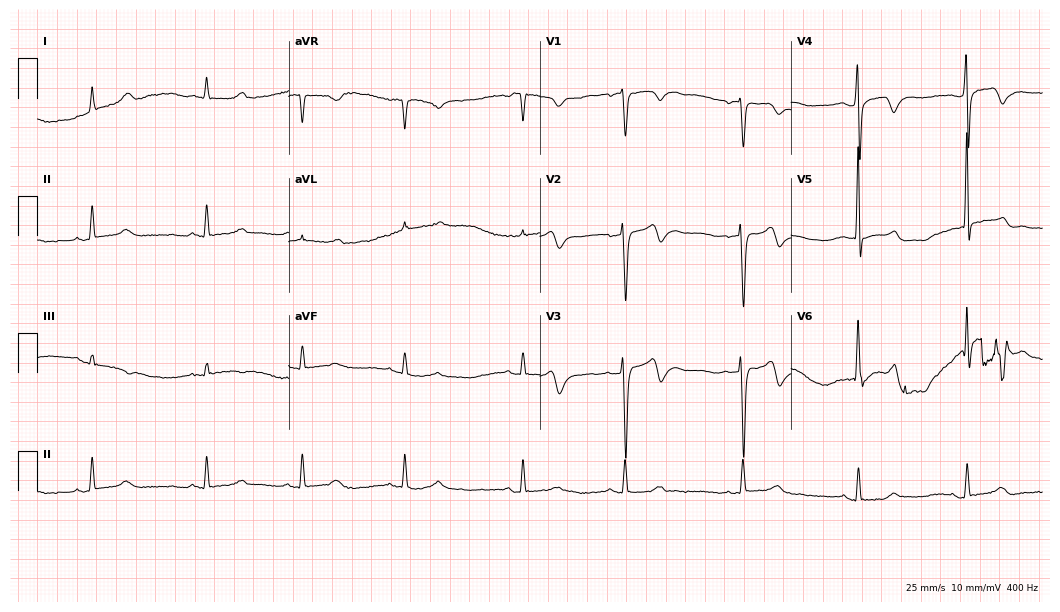
Electrocardiogram, a male, 38 years old. Of the six screened findings (first-degree AV block, right bundle branch block (RBBB), left bundle branch block (LBBB), sinus bradycardia, atrial fibrillation (AF), sinus tachycardia), none is recorded. Only these six findings were labelled.